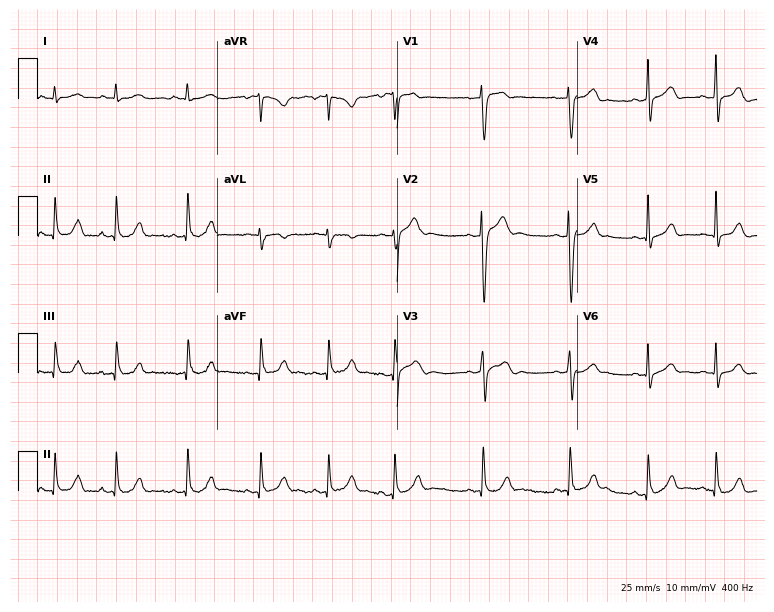
12-lead ECG from a male, 26 years old (7.3-second recording at 400 Hz). Recorded interpretation: within normal limits.